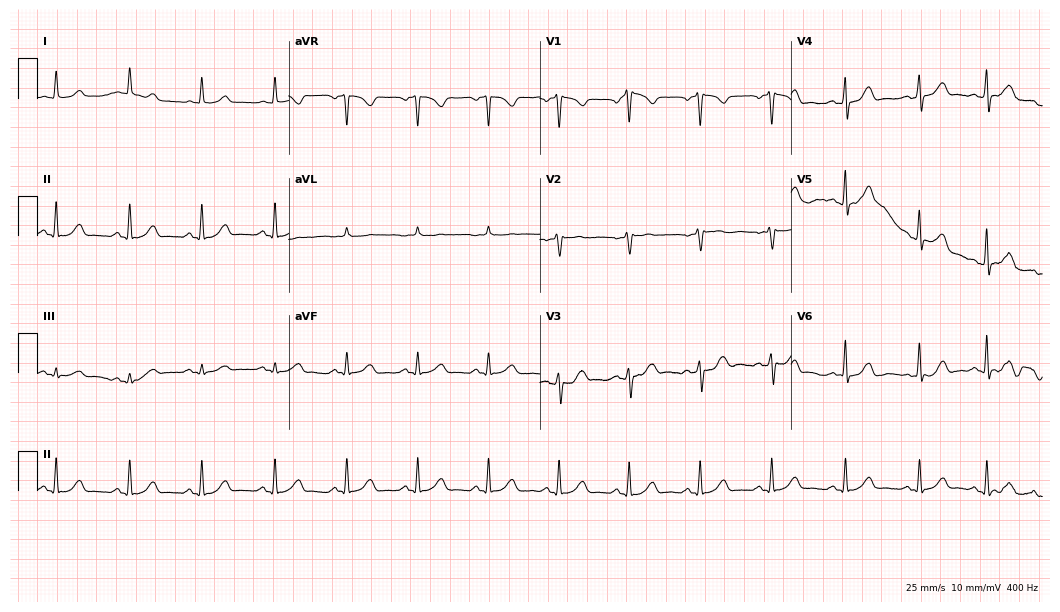
Standard 12-lead ECG recorded from a 37-year-old female (10.2-second recording at 400 Hz). Read as a normal ECG.